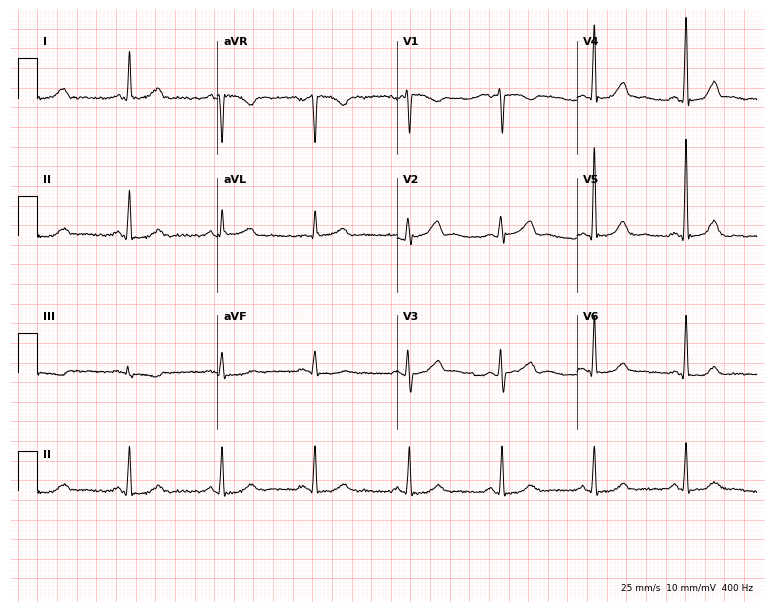
12-lead ECG from a woman, 54 years old. Screened for six findings — first-degree AV block, right bundle branch block, left bundle branch block, sinus bradycardia, atrial fibrillation, sinus tachycardia — none is recorded. Findings outside these six are not listed.